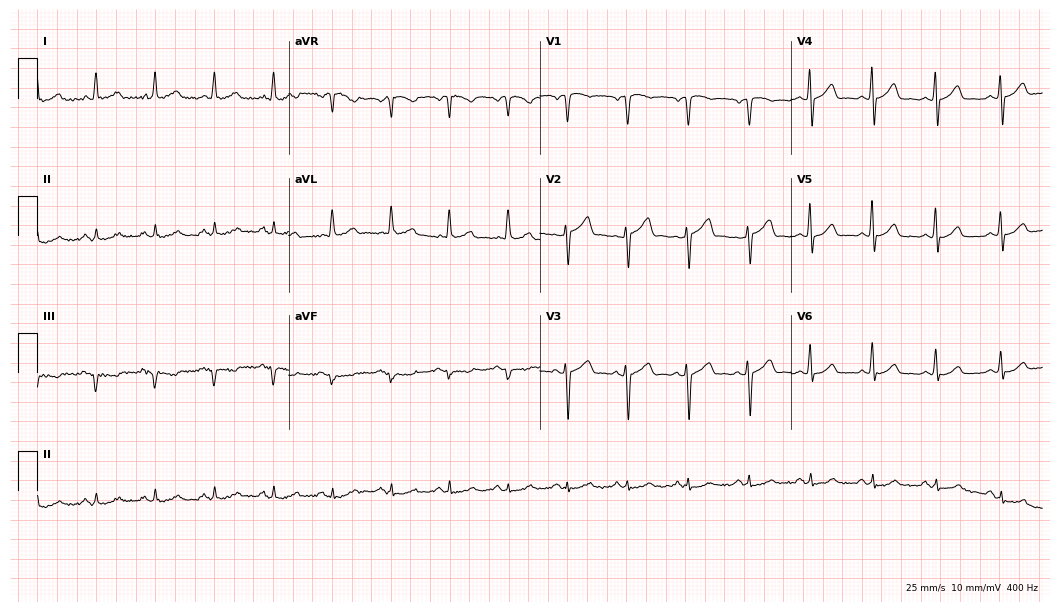
Resting 12-lead electrocardiogram. Patient: a 67-year-old man. Read as a normal ECG.